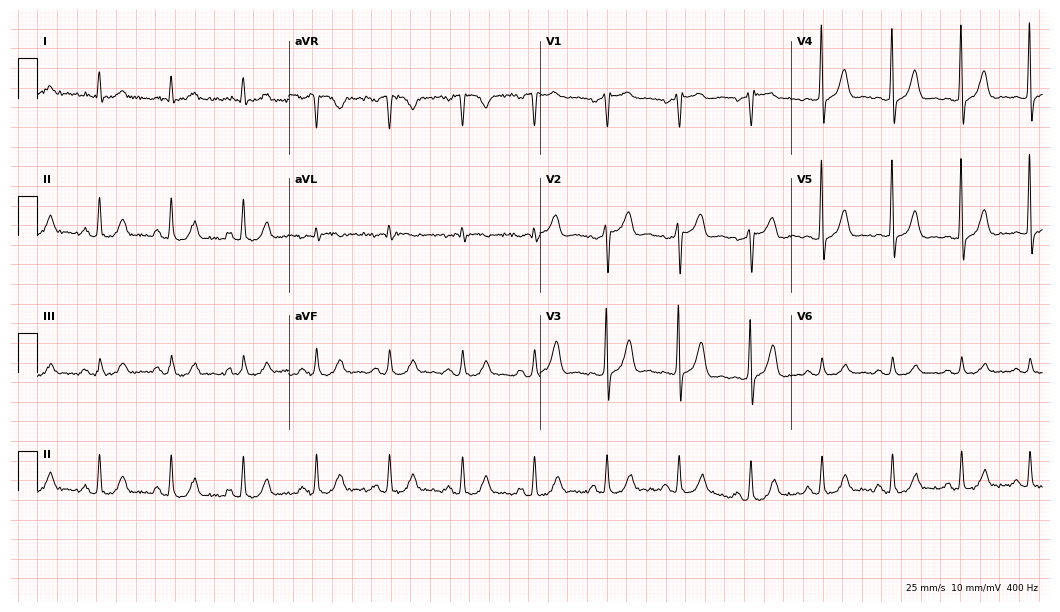
ECG (10.2-second recording at 400 Hz) — a male, 68 years old. Labelled as a normal ECG.